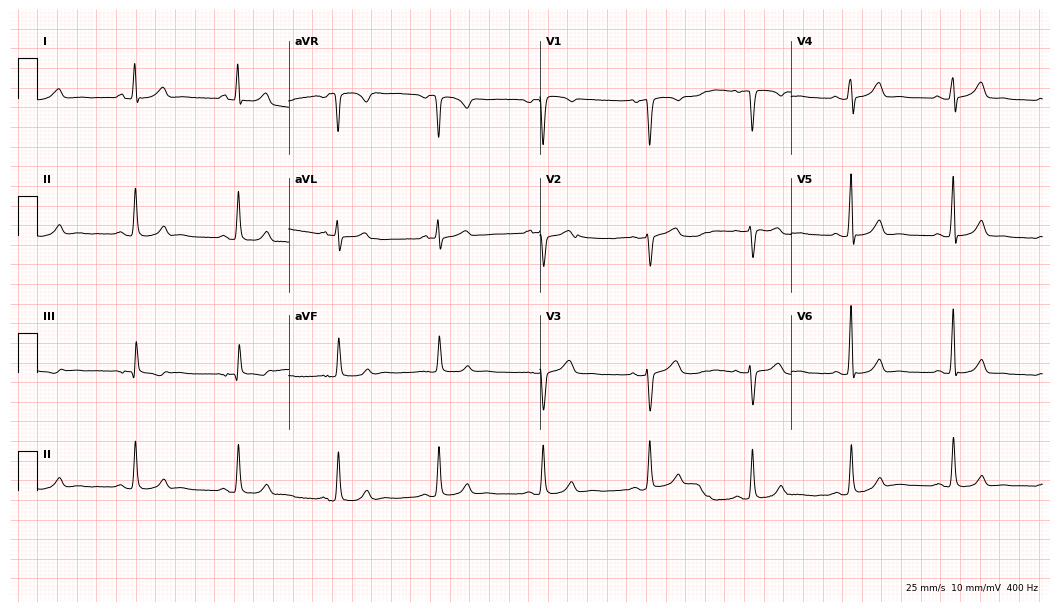
Resting 12-lead electrocardiogram (10.2-second recording at 400 Hz). Patient: a female, 55 years old. Read as a normal ECG.